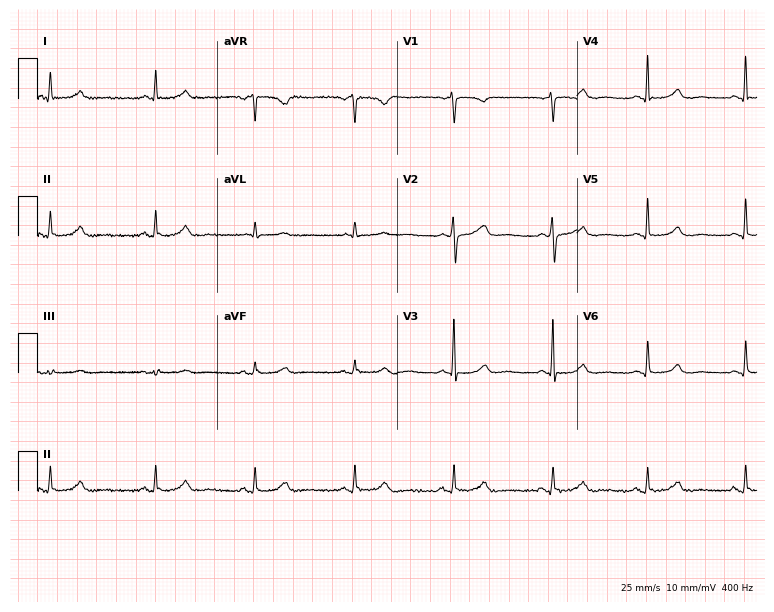
Resting 12-lead electrocardiogram. Patient: a woman, 50 years old. None of these six findings is recorded: first-degree AV block, right bundle branch block, left bundle branch block, sinus bradycardia, atrial fibrillation, sinus tachycardia. Only these six findings were labelled.